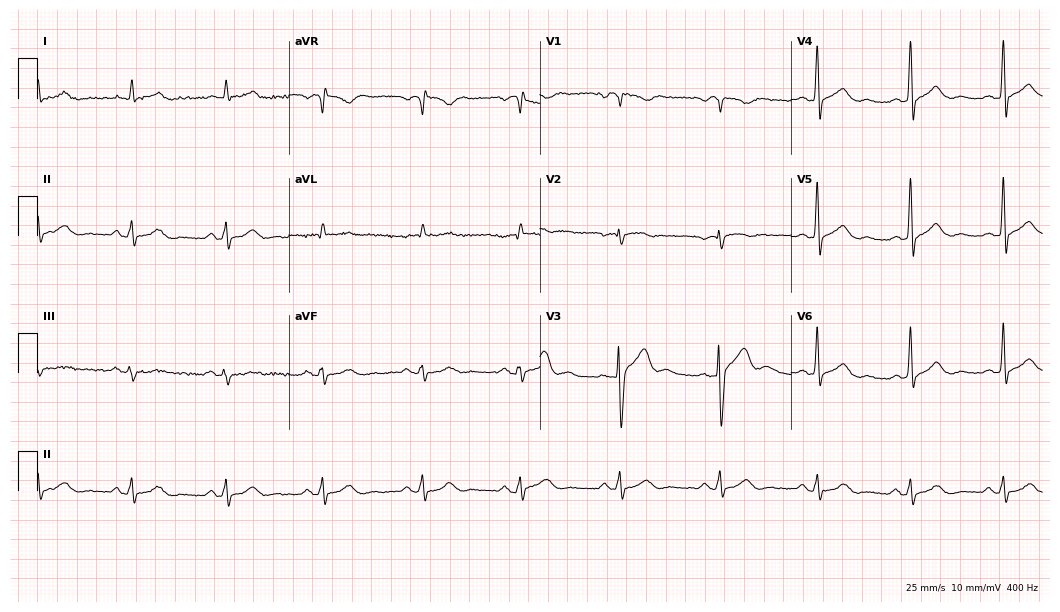
12-lead ECG (10.2-second recording at 400 Hz) from a man, 61 years old. Labelled as a normal ECG.